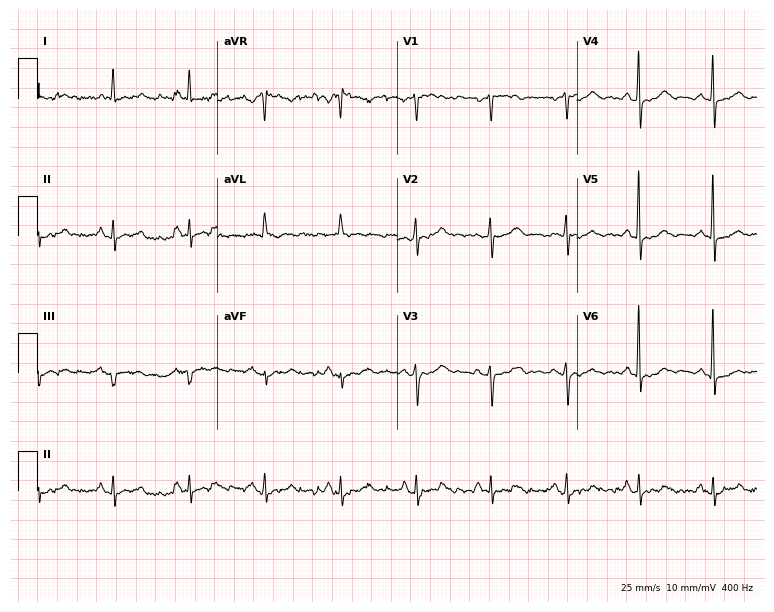
Resting 12-lead electrocardiogram. Patient: a female, 67 years old. Read as a normal ECG.